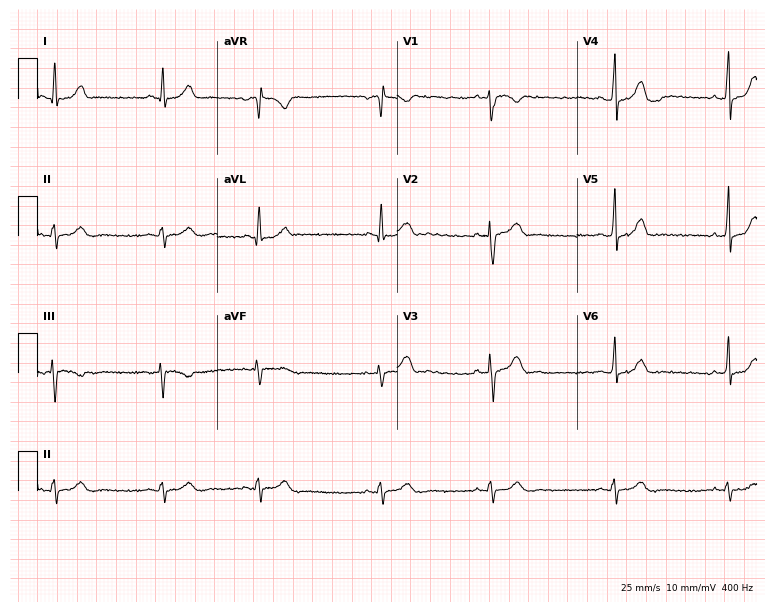
12-lead ECG from a female, 30 years old. Labelled as a normal ECG.